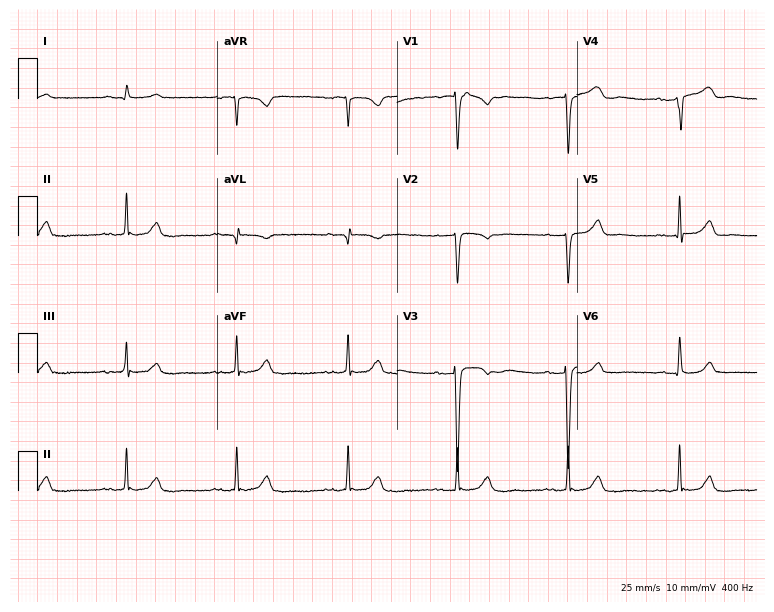
12-lead ECG from a 78-year-old male patient. Recorded interpretation: within normal limits.